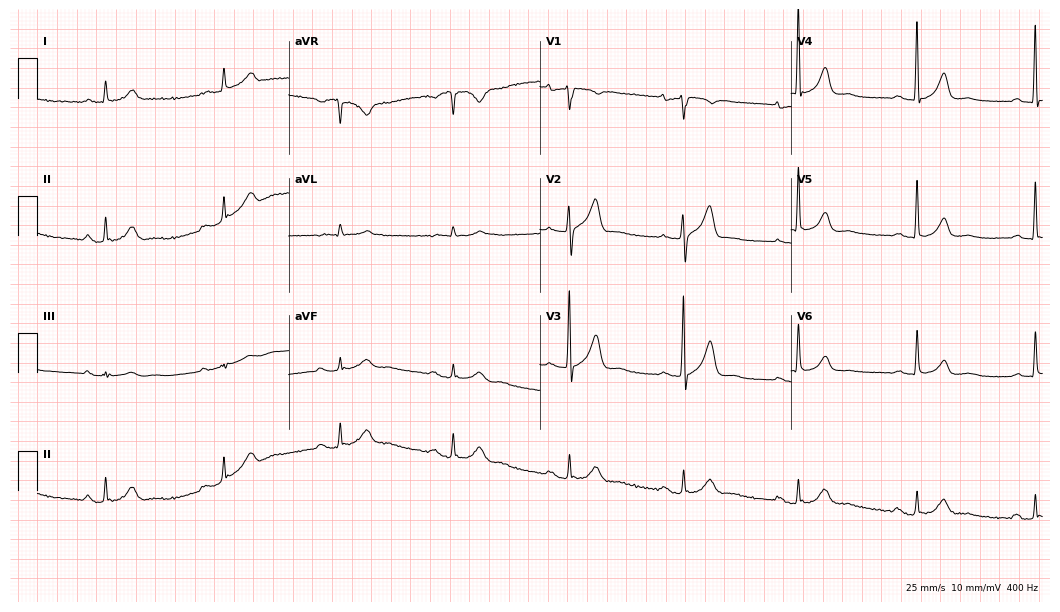
Standard 12-lead ECG recorded from a 77-year-old male patient (10.2-second recording at 400 Hz). The tracing shows first-degree AV block.